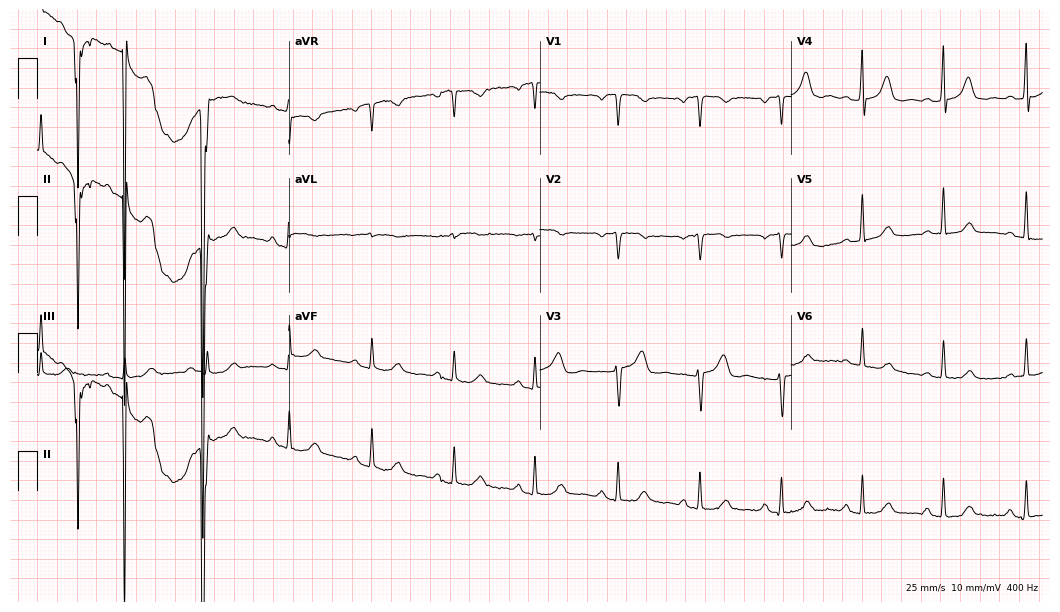
Electrocardiogram (10.2-second recording at 400 Hz), a female patient, 67 years old. Of the six screened findings (first-degree AV block, right bundle branch block, left bundle branch block, sinus bradycardia, atrial fibrillation, sinus tachycardia), none is recorded. Findings outside these six are not listed.